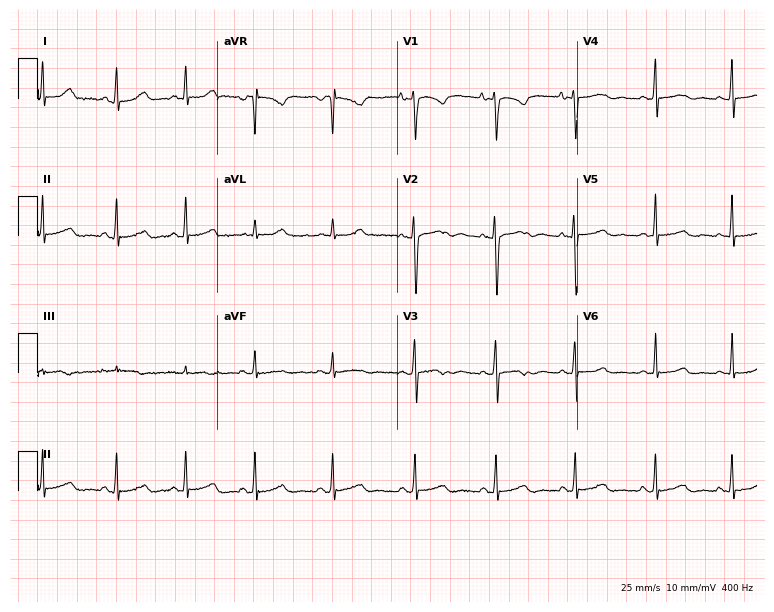
Standard 12-lead ECG recorded from an 18-year-old female patient. Read as a normal ECG.